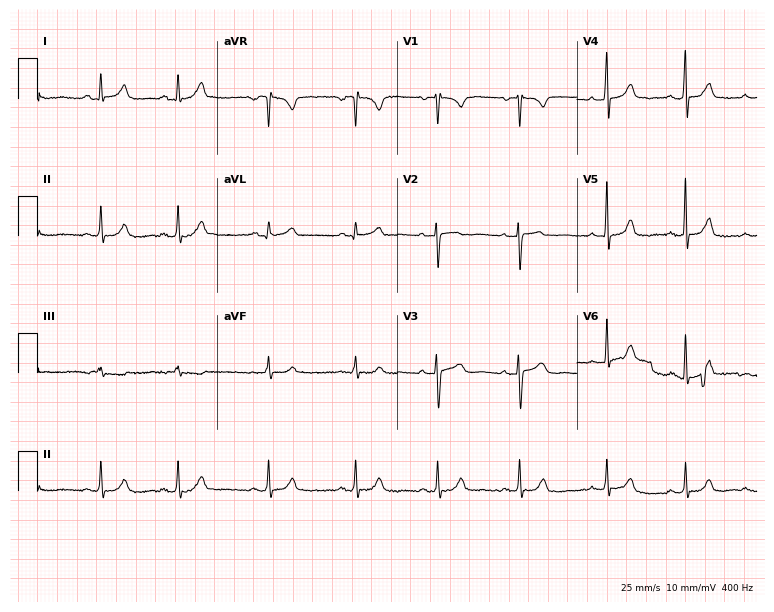
Standard 12-lead ECG recorded from a 34-year-old female (7.3-second recording at 400 Hz). Read as a normal ECG.